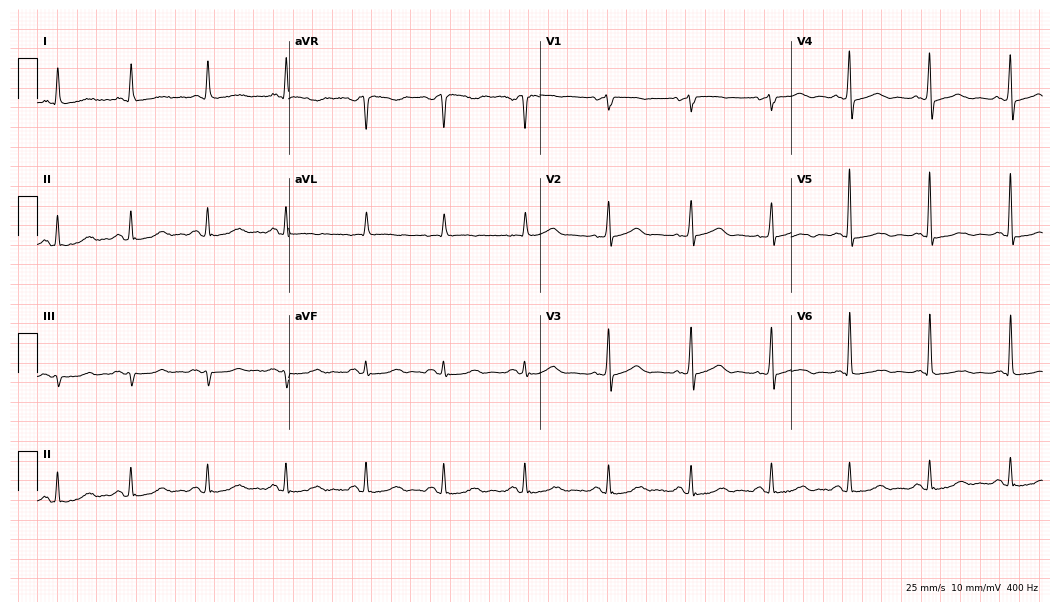
Electrocardiogram (10.2-second recording at 400 Hz), a woman, 77 years old. Overall reading on record: normal ECG.